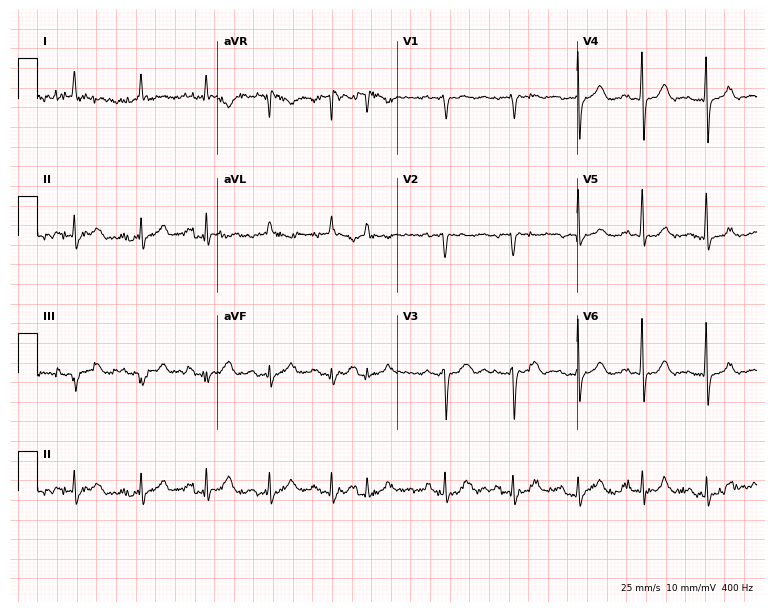
Resting 12-lead electrocardiogram. Patient: a woman, 85 years old. None of these six findings is recorded: first-degree AV block, right bundle branch block, left bundle branch block, sinus bradycardia, atrial fibrillation, sinus tachycardia.